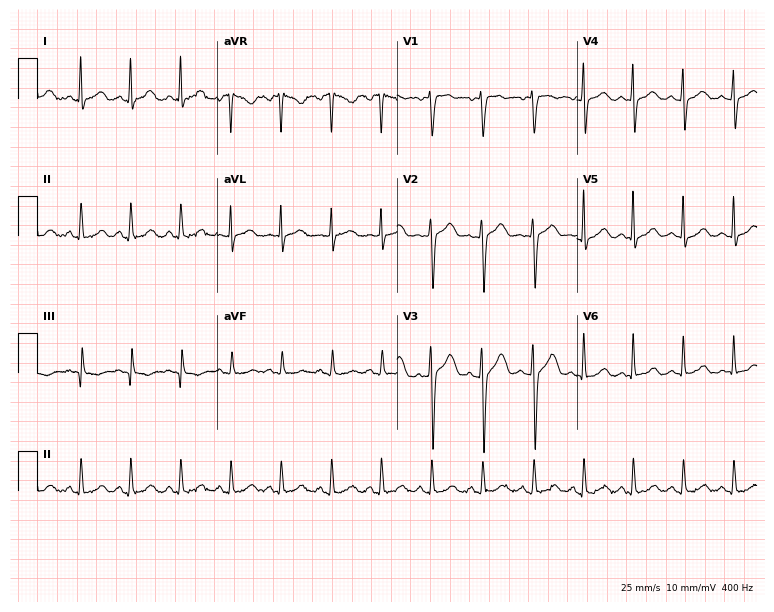
ECG — a woman, 40 years old. Findings include sinus tachycardia (a sinus rate of 100 beats per minute or more).